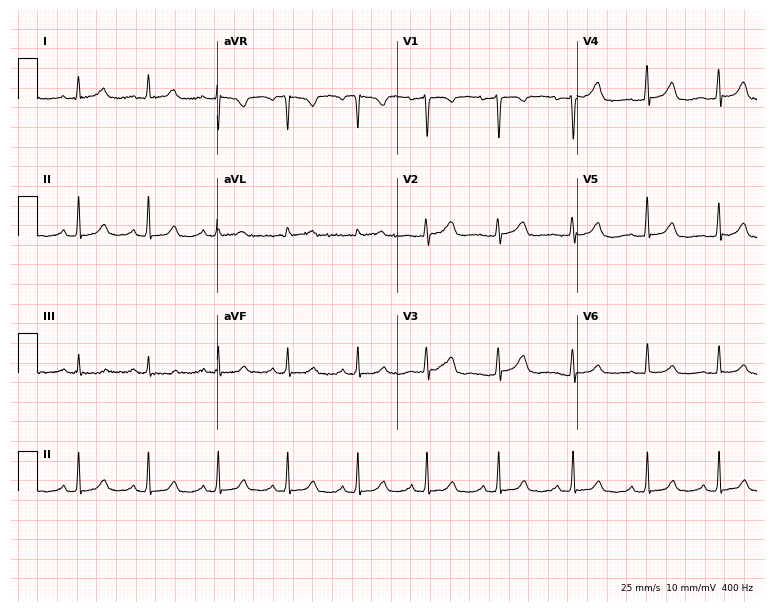
12-lead ECG from a 33-year-old female. No first-degree AV block, right bundle branch block (RBBB), left bundle branch block (LBBB), sinus bradycardia, atrial fibrillation (AF) or sinus tachycardia recorded for this tracing. Other findings, if any, are not listed.